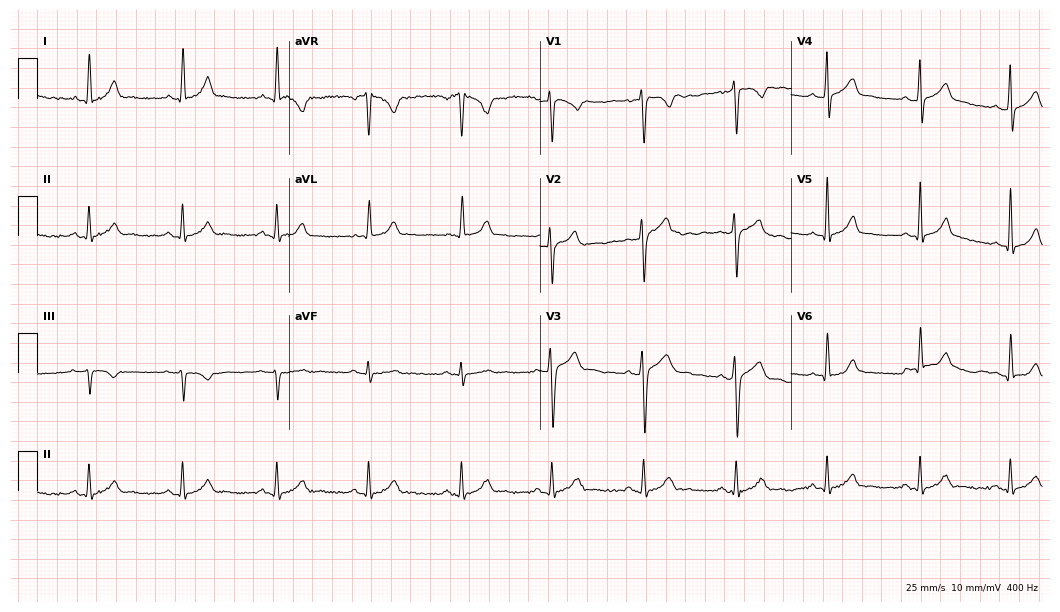
12-lead ECG from a 23-year-old male patient. Recorded interpretation: within normal limits.